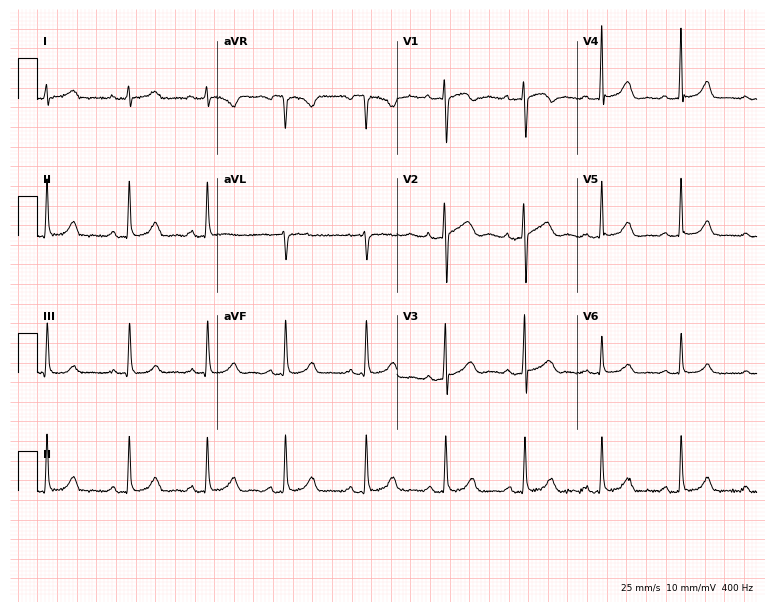
12-lead ECG from a 33-year-old female (7.3-second recording at 400 Hz). Recorded interpretation: within normal limits.